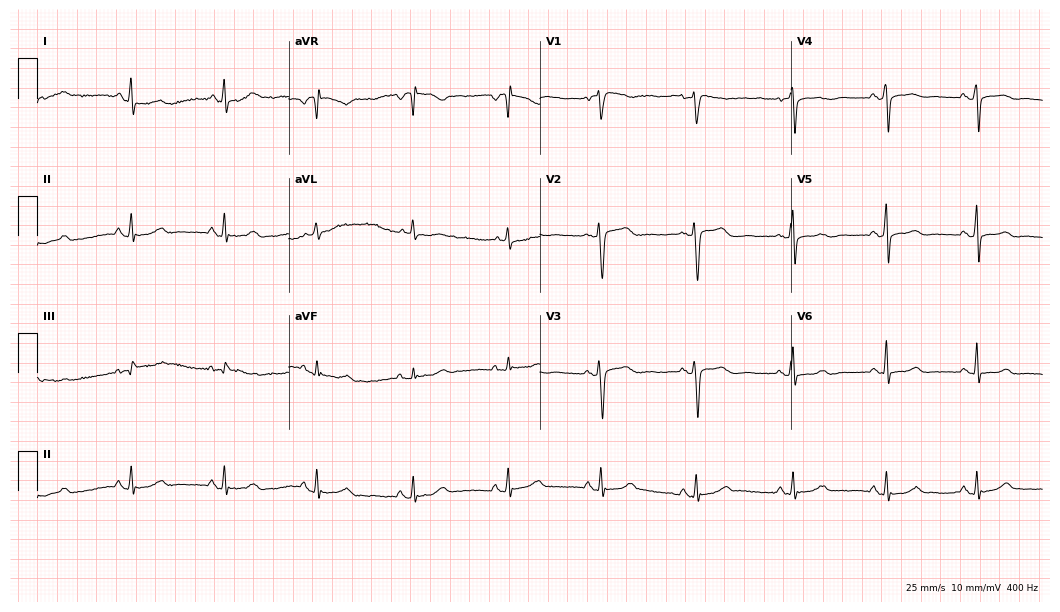
Electrocardiogram (10.2-second recording at 400 Hz), a 74-year-old woman. Of the six screened findings (first-degree AV block, right bundle branch block, left bundle branch block, sinus bradycardia, atrial fibrillation, sinus tachycardia), none is recorded.